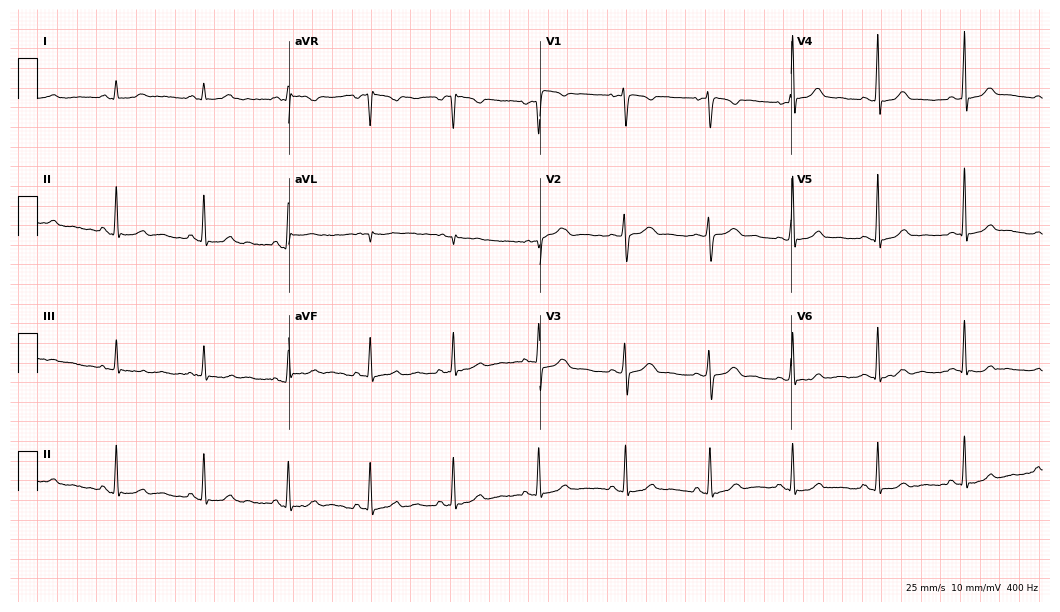
Standard 12-lead ECG recorded from a 31-year-old female patient (10.2-second recording at 400 Hz). Read as a normal ECG.